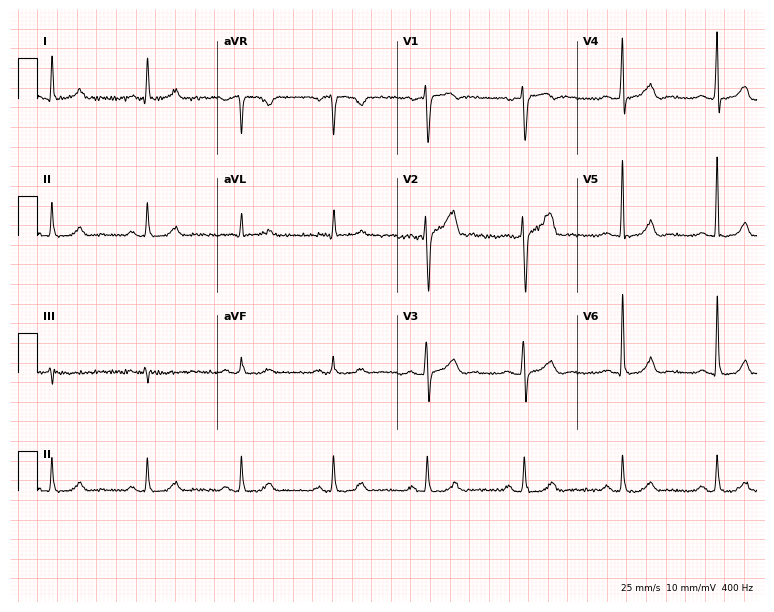
ECG (7.3-second recording at 400 Hz) — a male, 38 years old. Screened for six findings — first-degree AV block, right bundle branch block, left bundle branch block, sinus bradycardia, atrial fibrillation, sinus tachycardia — none is recorded. Other findings, if any, are not listed.